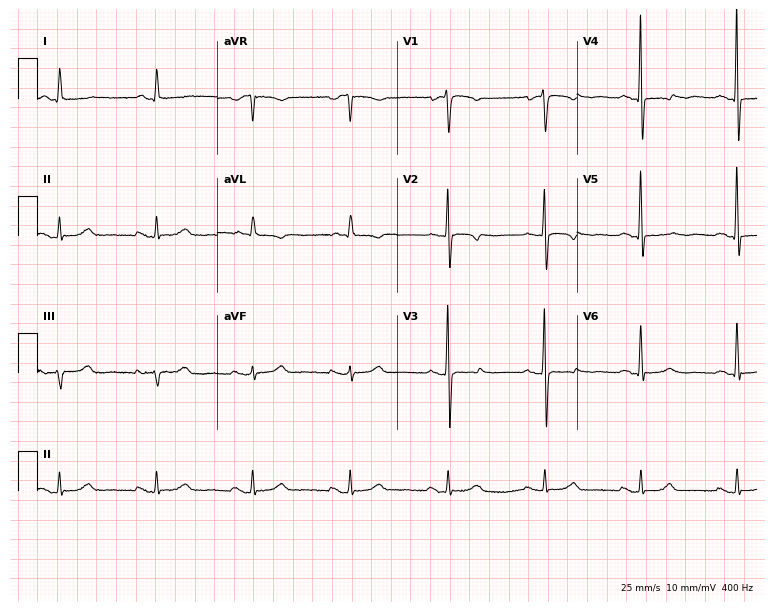
Electrocardiogram (7.3-second recording at 400 Hz), a 65-year-old woman. Of the six screened findings (first-degree AV block, right bundle branch block, left bundle branch block, sinus bradycardia, atrial fibrillation, sinus tachycardia), none is recorded.